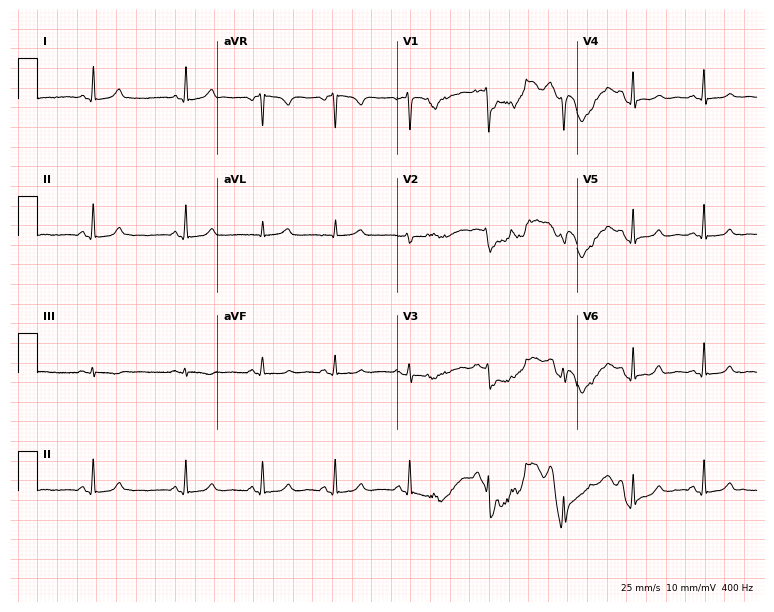
12-lead ECG from a 32-year-old woman (7.3-second recording at 400 Hz). No first-degree AV block, right bundle branch block (RBBB), left bundle branch block (LBBB), sinus bradycardia, atrial fibrillation (AF) or sinus tachycardia recorded for this tracing. Findings outside these six are not listed.